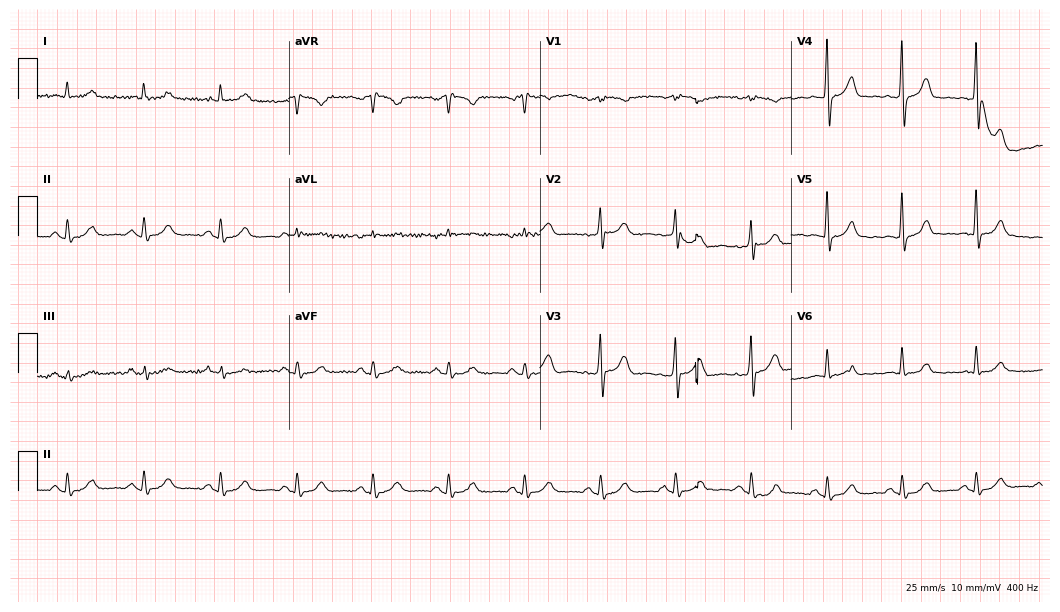
12-lead ECG from a 62-year-old male patient (10.2-second recording at 400 Hz). Recorded interpretation: within normal limits.